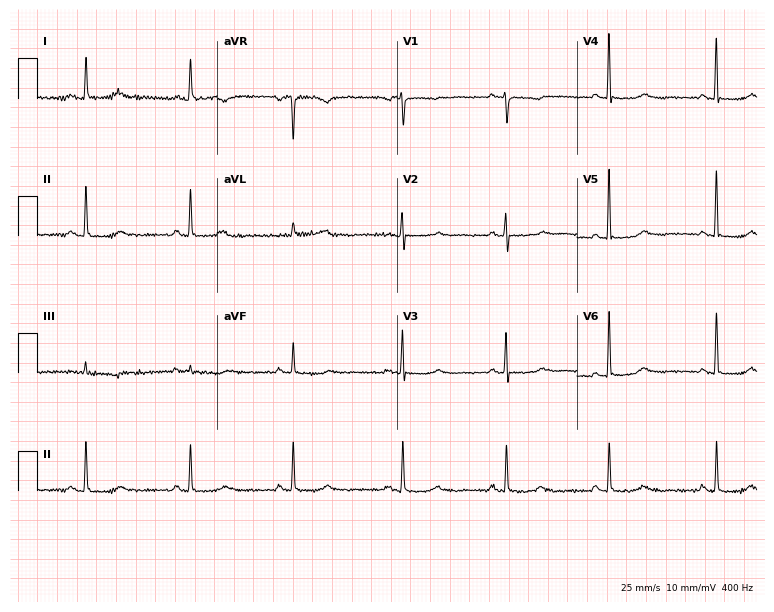
ECG (7.3-second recording at 400 Hz) — a 68-year-old woman. Labelled as a normal ECG.